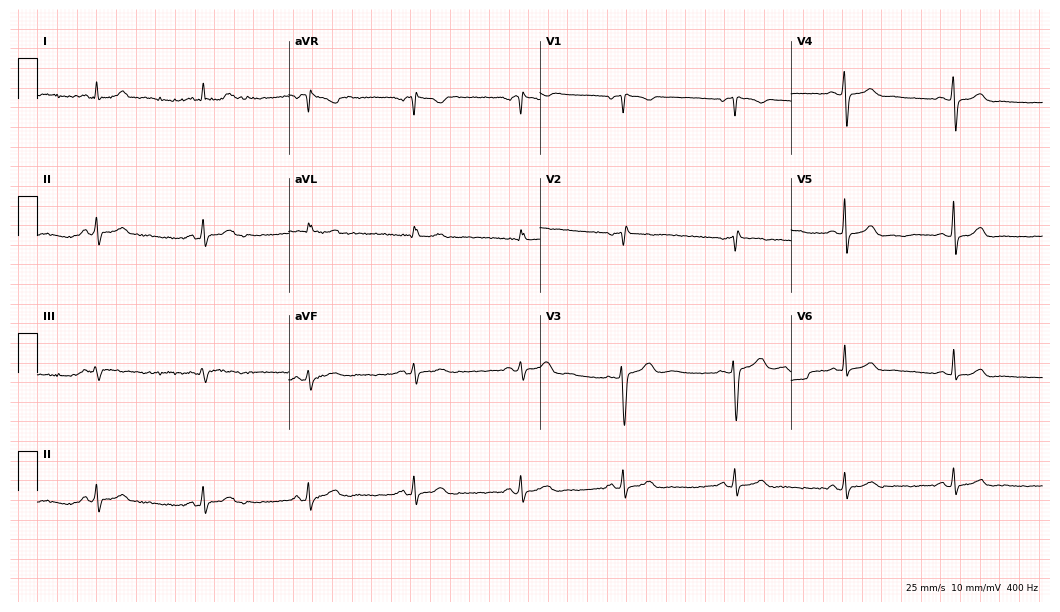
12-lead ECG (10.2-second recording at 400 Hz) from a 37-year-old woman. Screened for six findings — first-degree AV block, right bundle branch block (RBBB), left bundle branch block (LBBB), sinus bradycardia, atrial fibrillation (AF), sinus tachycardia — none is recorded.